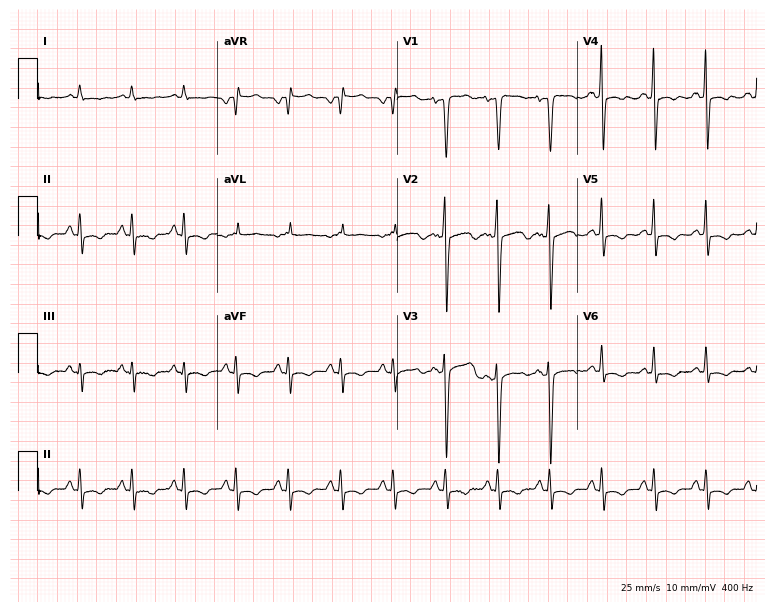
Standard 12-lead ECG recorded from a woman, 74 years old (7.3-second recording at 400 Hz). The tracing shows sinus tachycardia (a sinus rate of 100 beats per minute or more).